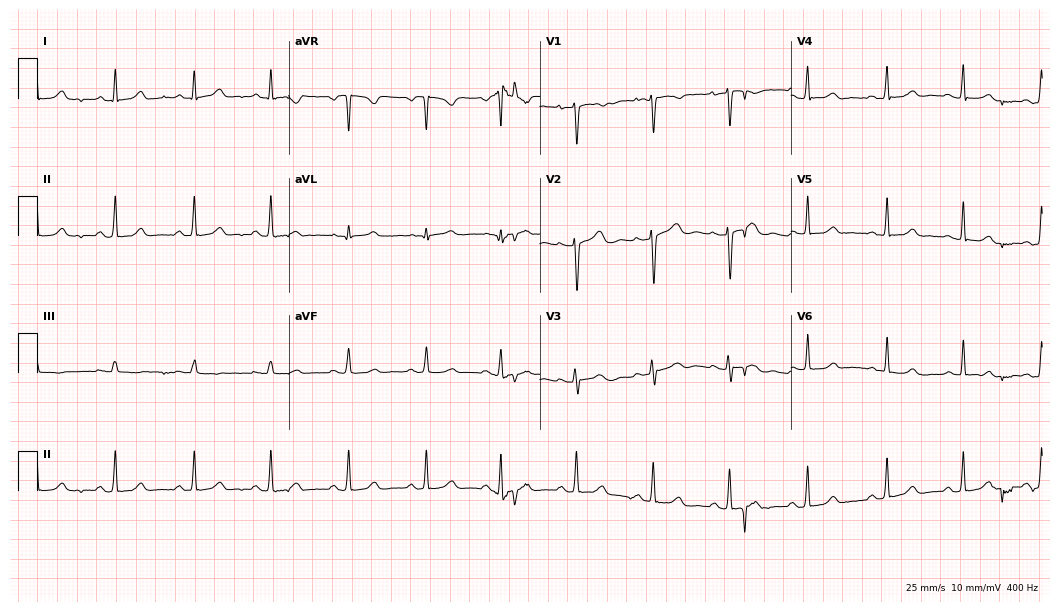
12-lead ECG (10.2-second recording at 400 Hz) from a 26-year-old female patient. Labelled as a normal ECG.